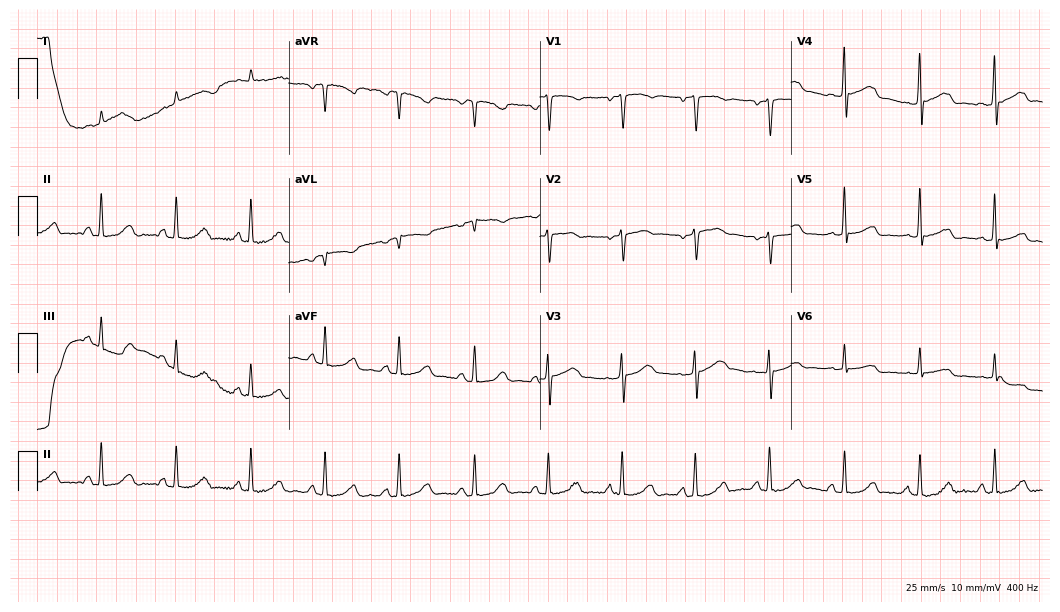
Electrocardiogram, a 71-year-old man. Of the six screened findings (first-degree AV block, right bundle branch block, left bundle branch block, sinus bradycardia, atrial fibrillation, sinus tachycardia), none is recorded.